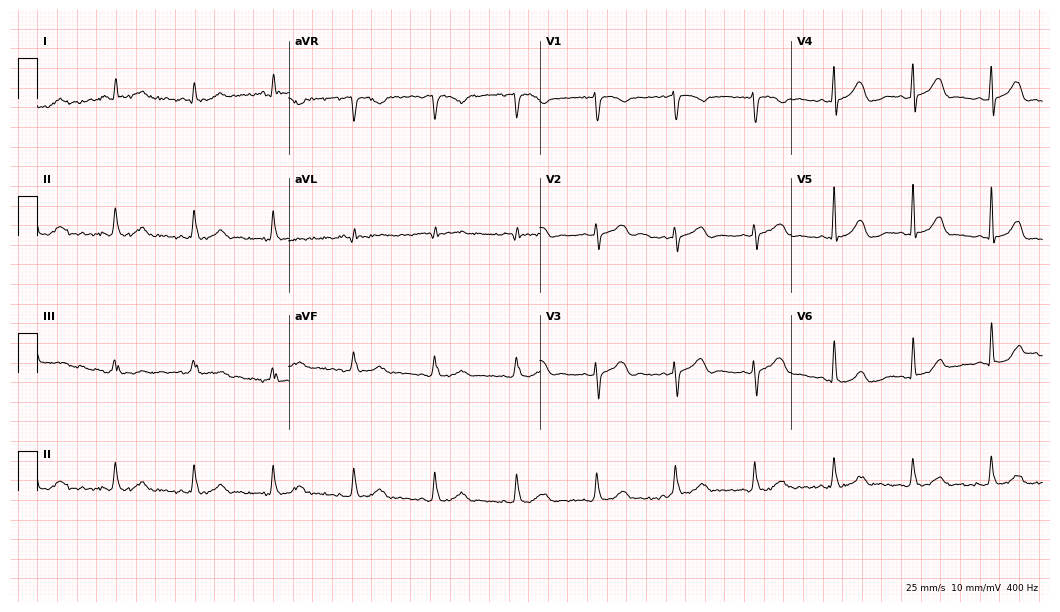
Standard 12-lead ECG recorded from a 60-year-old female. None of these six findings is recorded: first-degree AV block, right bundle branch block (RBBB), left bundle branch block (LBBB), sinus bradycardia, atrial fibrillation (AF), sinus tachycardia. Findings outside these six are not listed.